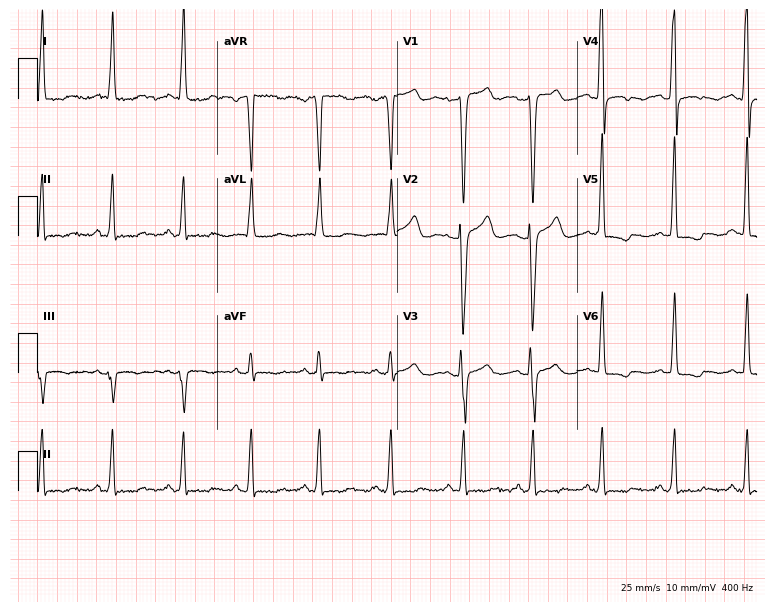
12-lead ECG (7.3-second recording at 400 Hz) from a woman, 74 years old. Screened for six findings — first-degree AV block, right bundle branch block, left bundle branch block, sinus bradycardia, atrial fibrillation, sinus tachycardia — none is recorded. Only these six findings were labelled.